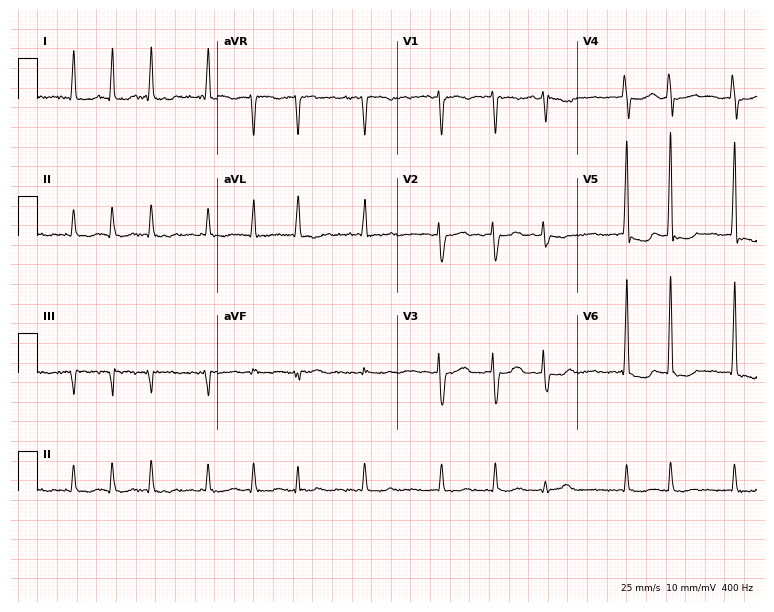
12-lead ECG from a 75-year-old female patient. Shows atrial fibrillation (AF).